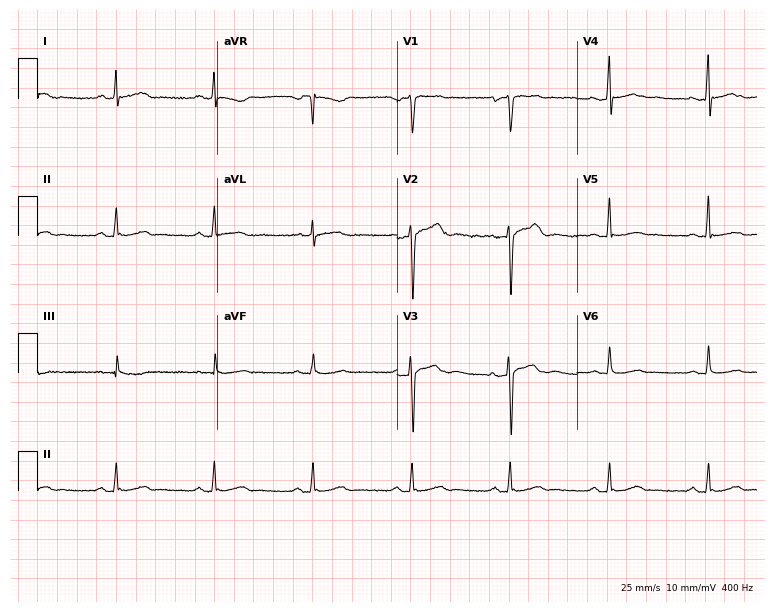
Standard 12-lead ECG recorded from a 52-year-old male. Read as a normal ECG.